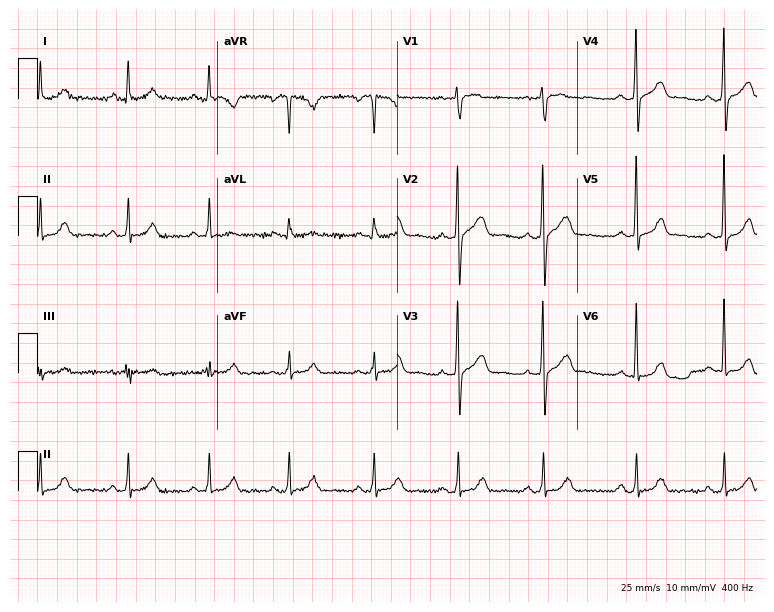
Standard 12-lead ECG recorded from a 45-year-old woman. Read as a normal ECG.